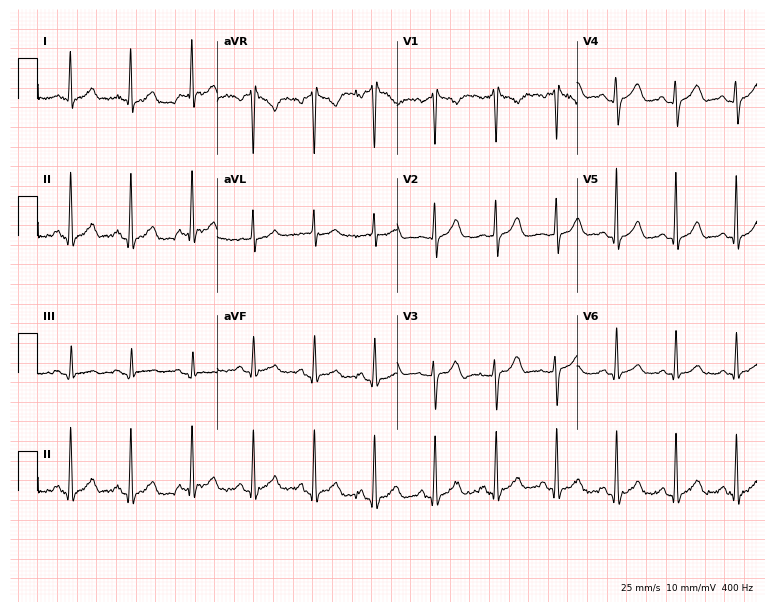
Resting 12-lead electrocardiogram. Patient: a female, 56 years old. None of these six findings is recorded: first-degree AV block, right bundle branch block, left bundle branch block, sinus bradycardia, atrial fibrillation, sinus tachycardia.